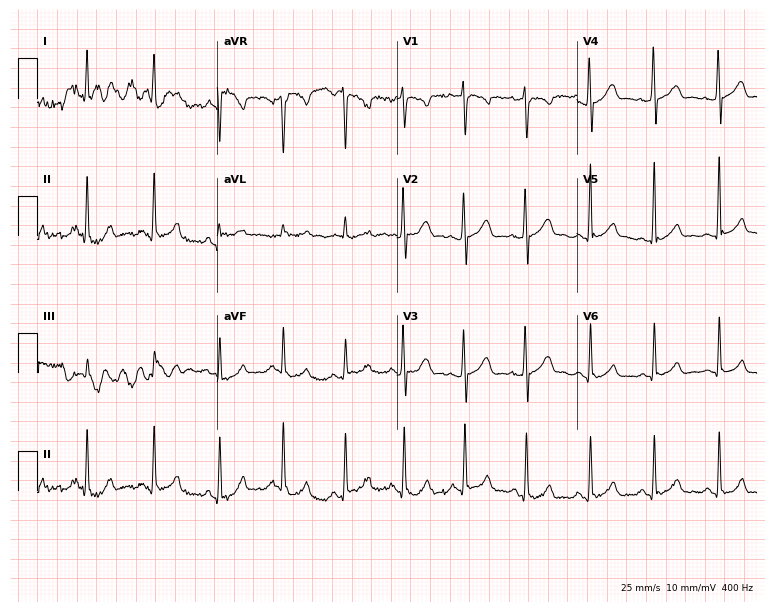
ECG — a female, 22 years old. Screened for six findings — first-degree AV block, right bundle branch block, left bundle branch block, sinus bradycardia, atrial fibrillation, sinus tachycardia — none is recorded.